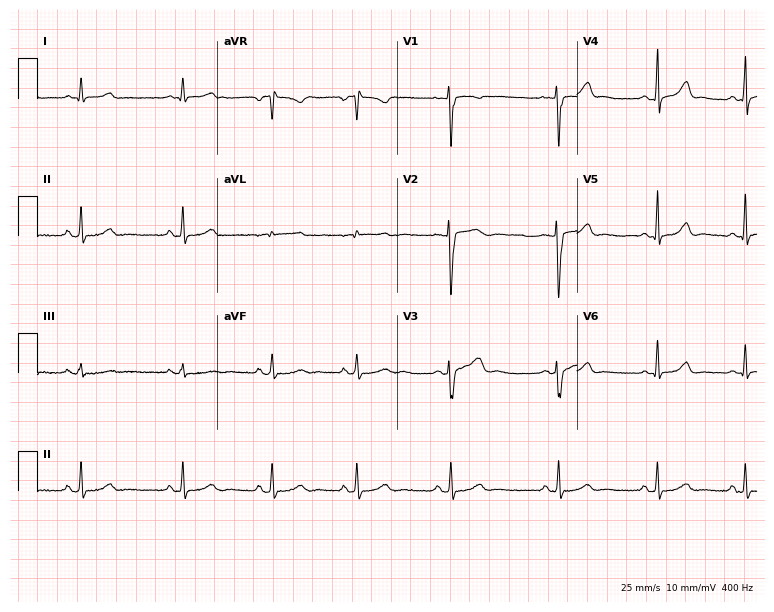
Standard 12-lead ECG recorded from a 27-year-old female patient (7.3-second recording at 400 Hz). Read as a normal ECG.